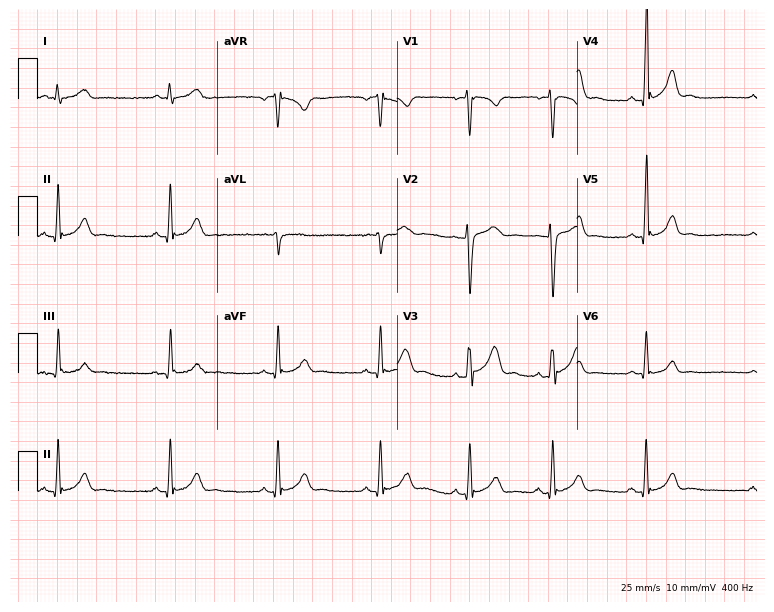
ECG — a male, 24 years old. Screened for six findings — first-degree AV block, right bundle branch block (RBBB), left bundle branch block (LBBB), sinus bradycardia, atrial fibrillation (AF), sinus tachycardia — none is recorded. Findings outside these six are not listed.